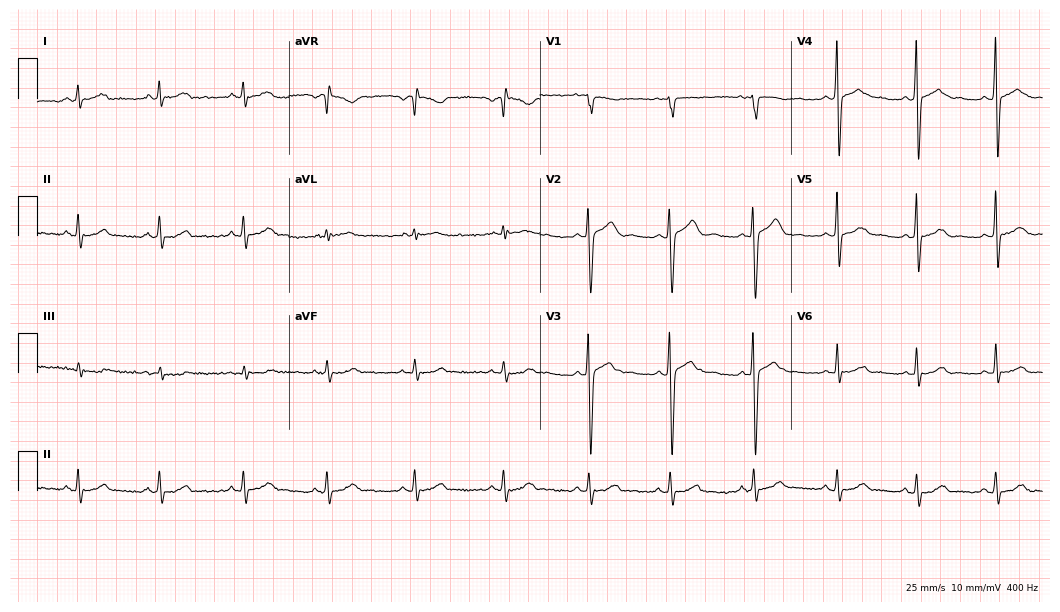
12-lead ECG (10.2-second recording at 400 Hz) from a 21-year-old woman. Screened for six findings — first-degree AV block, right bundle branch block, left bundle branch block, sinus bradycardia, atrial fibrillation, sinus tachycardia — none is recorded. Findings outside these six are not listed.